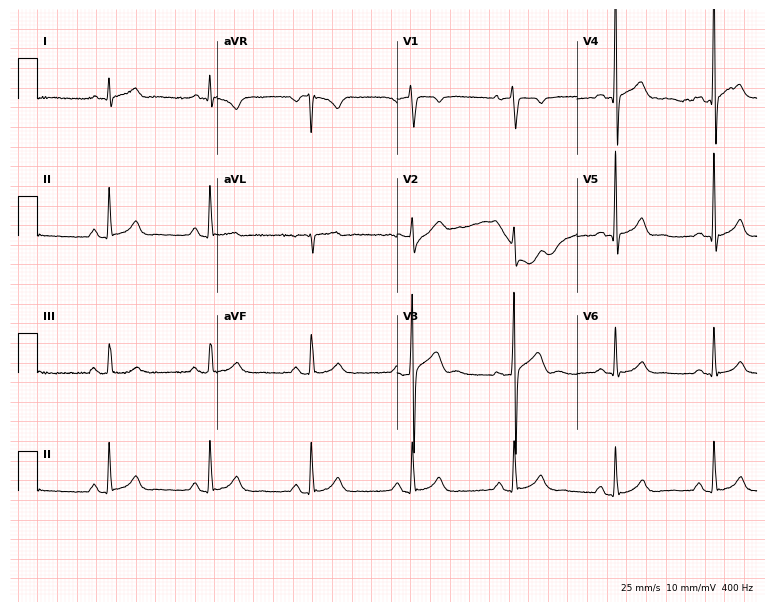
Standard 12-lead ECG recorded from a 48-year-old male (7.3-second recording at 400 Hz). Read as a normal ECG.